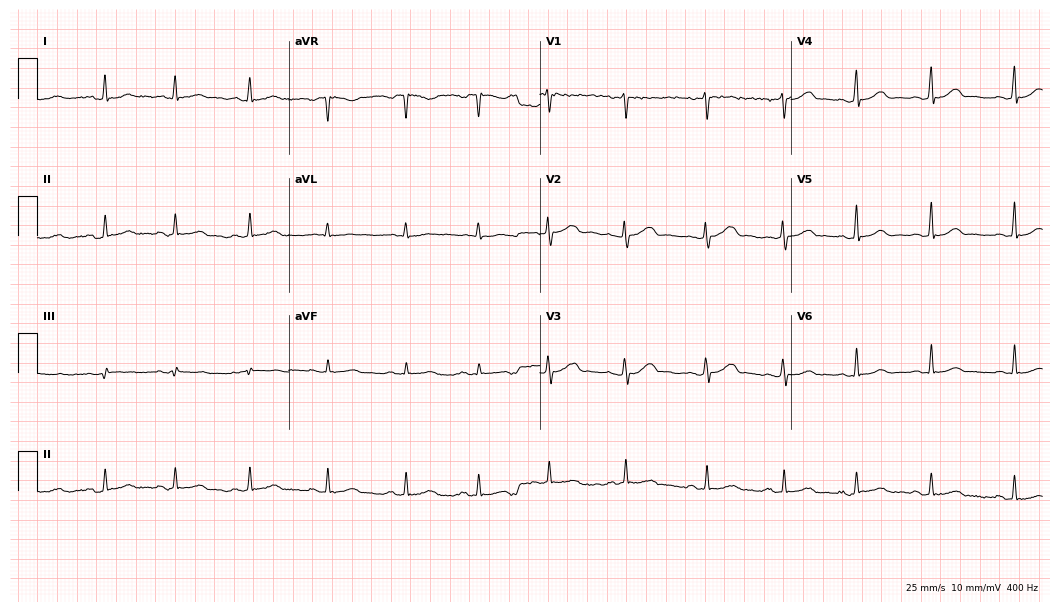
Electrocardiogram (10.2-second recording at 400 Hz), a 39-year-old female patient. Overall reading on record: normal ECG.